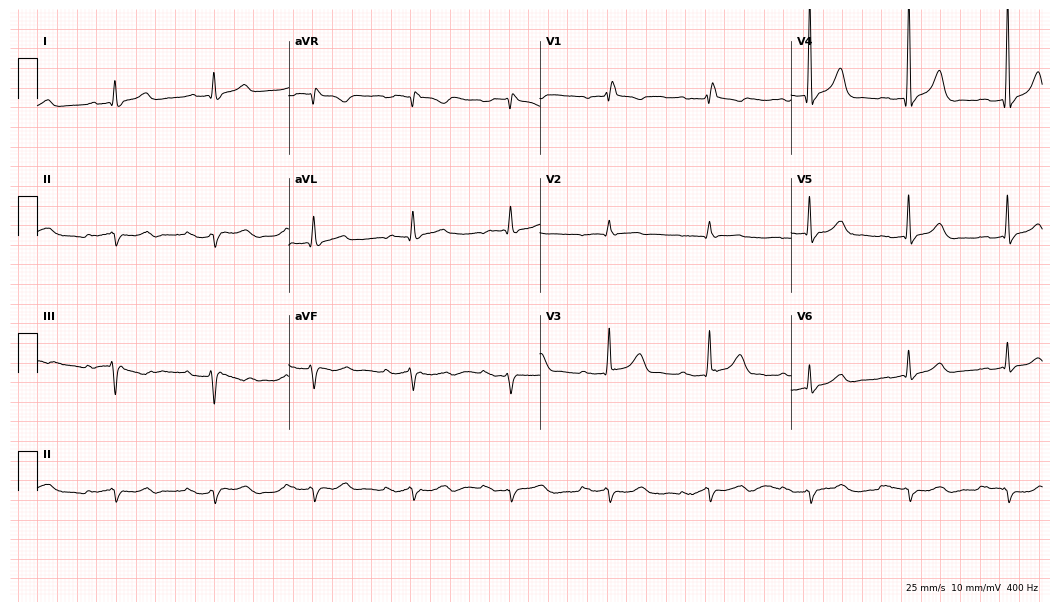
Standard 12-lead ECG recorded from a male patient, 77 years old. None of these six findings is recorded: first-degree AV block, right bundle branch block (RBBB), left bundle branch block (LBBB), sinus bradycardia, atrial fibrillation (AF), sinus tachycardia.